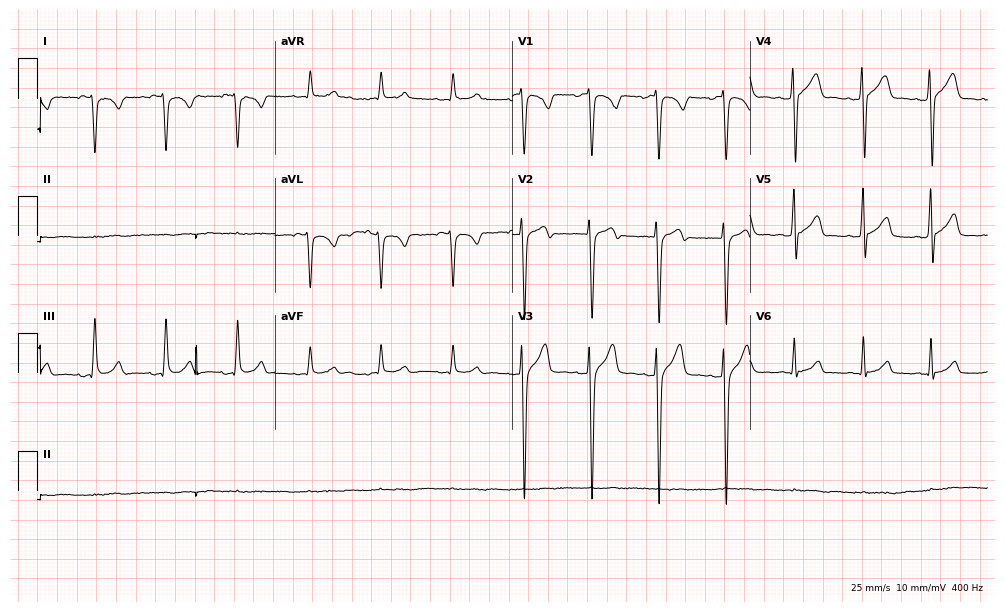
Resting 12-lead electrocardiogram. Patient: a 21-year-old male. None of these six findings is recorded: first-degree AV block, right bundle branch block, left bundle branch block, sinus bradycardia, atrial fibrillation, sinus tachycardia. Other findings, if any, are not listed.